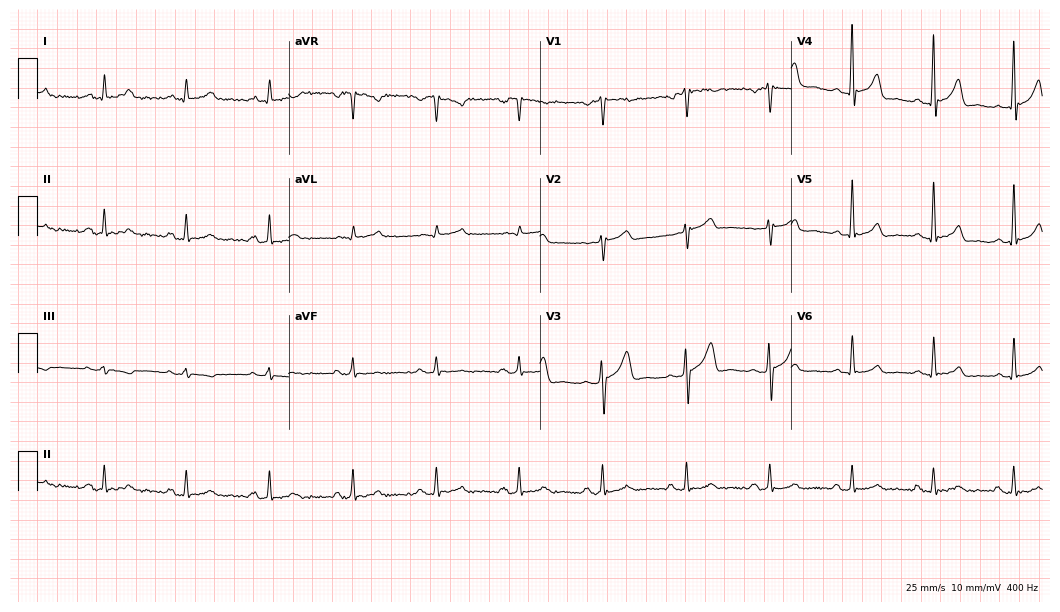
12-lead ECG from a male, 45 years old. Labelled as a normal ECG.